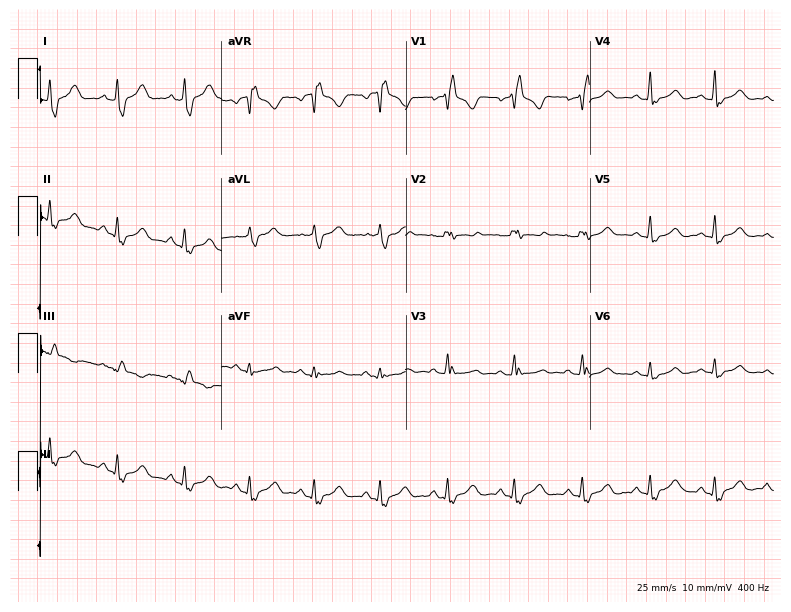
Electrocardiogram (7.5-second recording at 400 Hz), a 36-year-old female patient. Interpretation includes right bundle branch block.